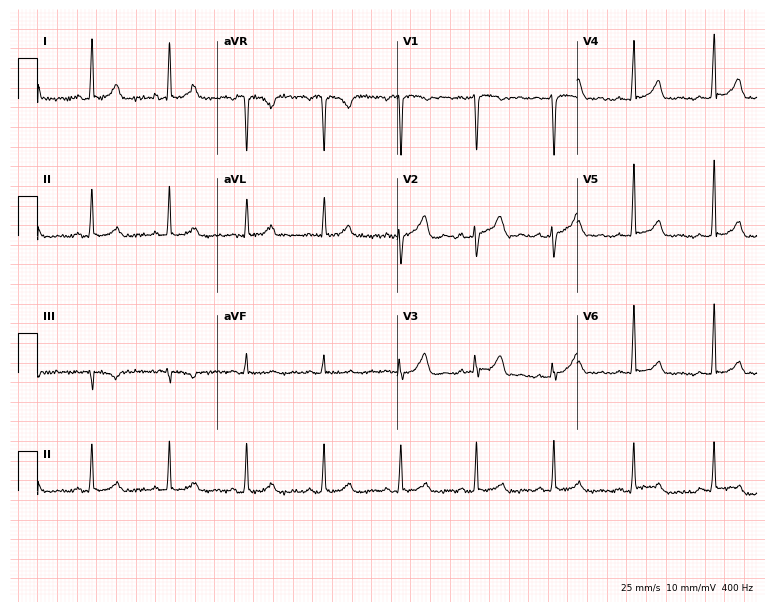
Standard 12-lead ECG recorded from a 44-year-old female patient. Read as a normal ECG.